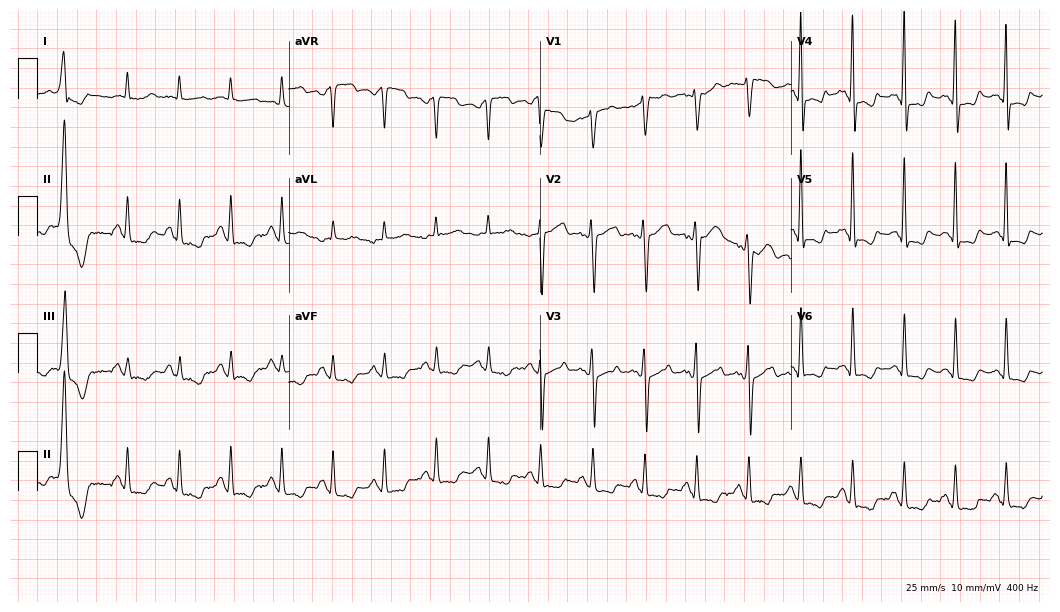
Standard 12-lead ECG recorded from a 59-year-old female patient. None of these six findings is recorded: first-degree AV block, right bundle branch block, left bundle branch block, sinus bradycardia, atrial fibrillation, sinus tachycardia. Other findings, if any, are not listed.